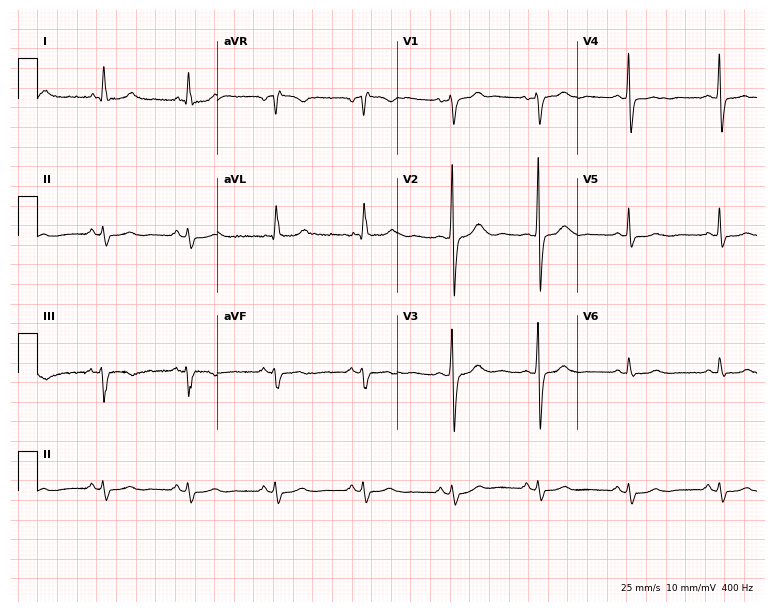
ECG — a 55-year-old male patient. Screened for six findings — first-degree AV block, right bundle branch block (RBBB), left bundle branch block (LBBB), sinus bradycardia, atrial fibrillation (AF), sinus tachycardia — none is recorded.